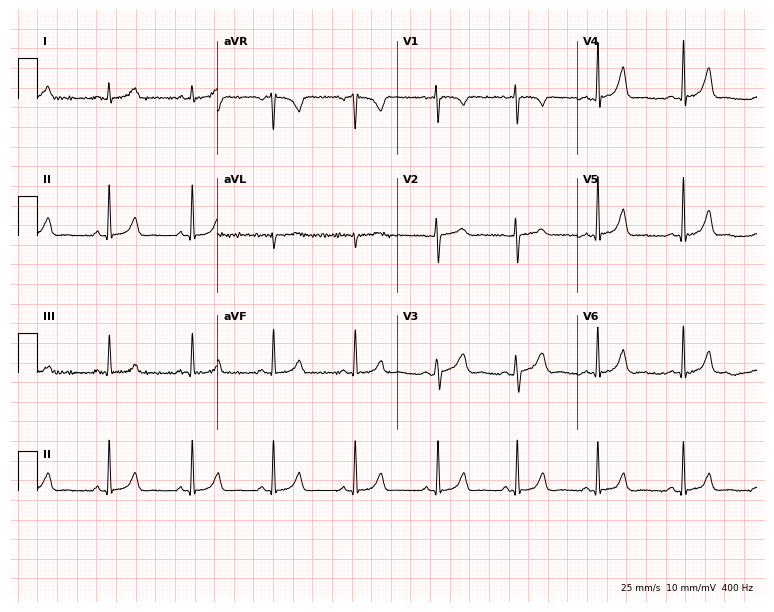
Standard 12-lead ECG recorded from a female patient, 26 years old (7.3-second recording at 400 Hz). Read as a normal ECG.